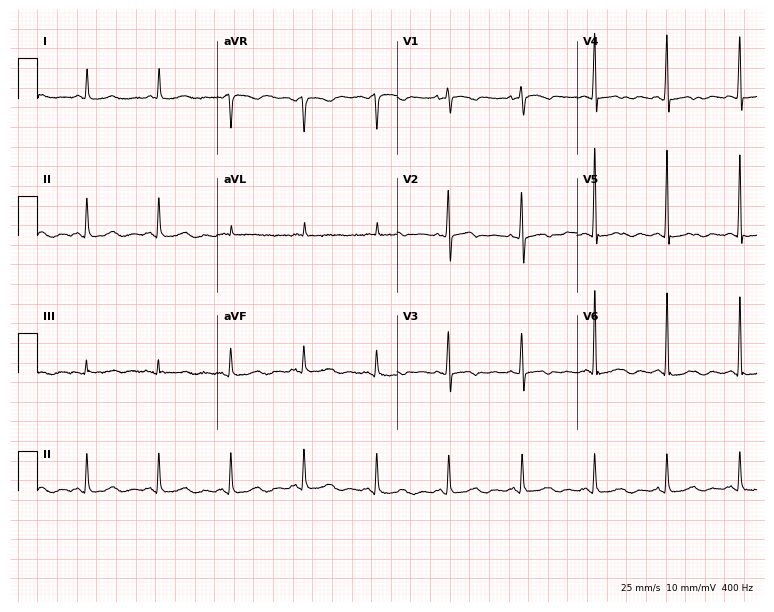
Standard 12-lead ECG recorded from a female patient, 82 years old (7.3-second recording at 400 Hz). Read as a normal ECG.